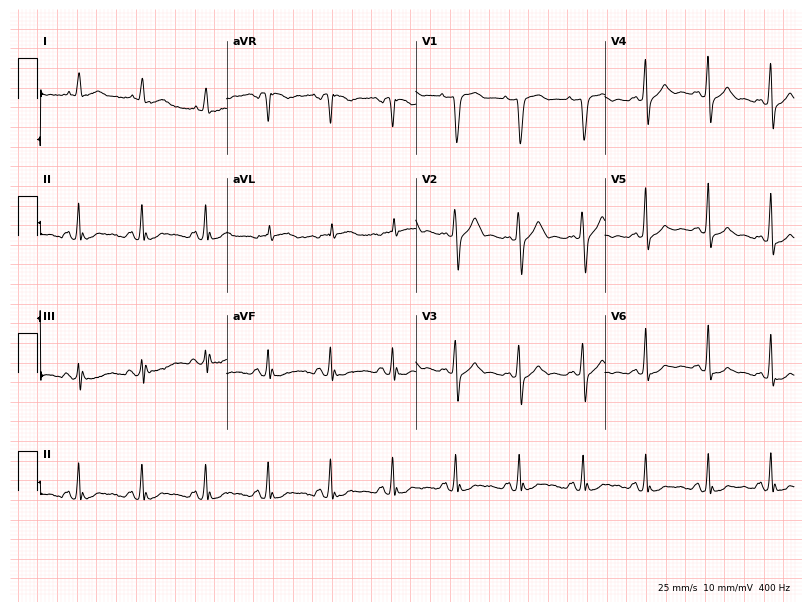
ECG — a 66-year-old female patient. Screened for six findings — first-degree AV block, right bundle branch block, left bundle branch block, sinus bradycardia, atrial fibrillation, sinus tachycardia — none is recorded. Findings outside these six are not listed.